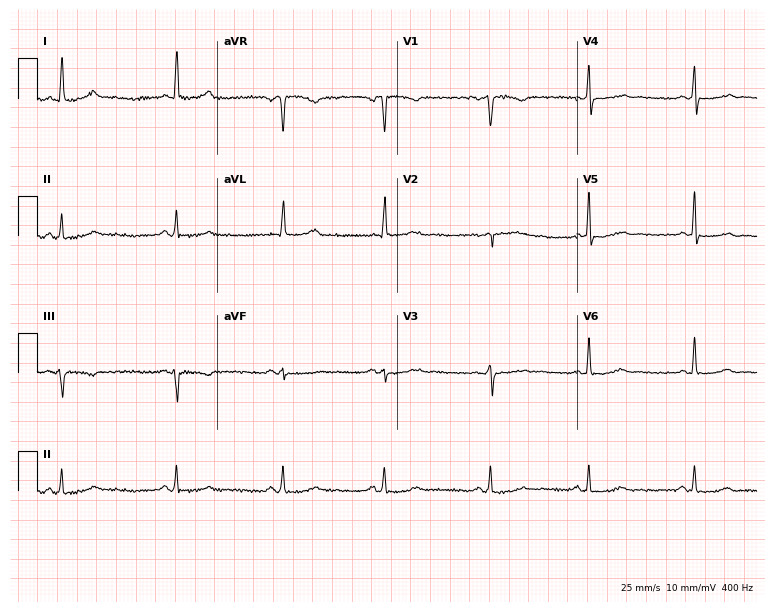
Resting 12-lead electrocardiogram (7.3-second recording at 400 Hz). Patient: a 45-year-old female. None of these six findings is recorded: first-degree AV block, right bundle branch block, left bundle branch block, sinus bradycardia, atrial fibrillation, sinus tachycardia.